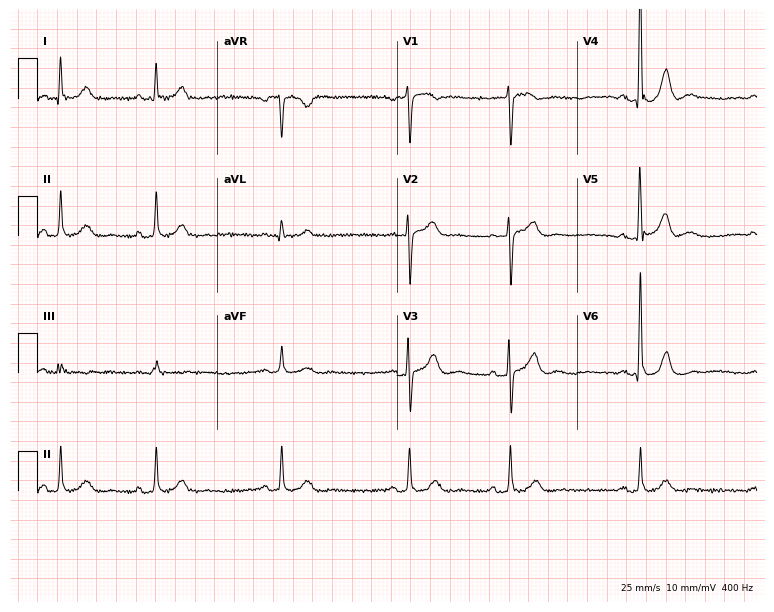
Standard 12-lead ECG recorded from an 81-year-old male (7.3-second recording at 400 Hz). None of these six findings is recorded: first-degree AV block, right bundle branch block, left bundle branch block, sinus bradycardia, atrial fibrillation, sinus tachycardia. Only these six findings were labelled.